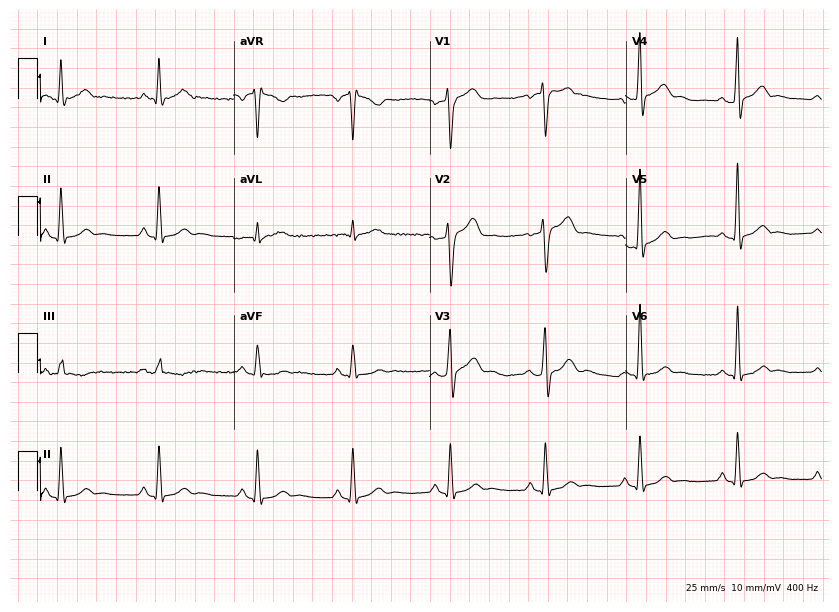
Resting 12-lead electrocardiogram. Patient: a male, 33 years old. Read as a normal ECG.